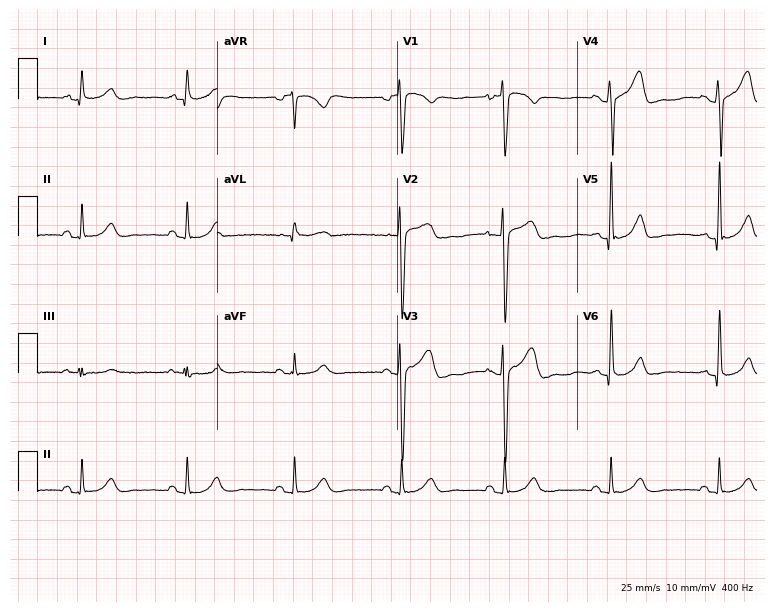
Standard 12-lead ECG recorded from a 50-year-old man. Read as a normal ECG.